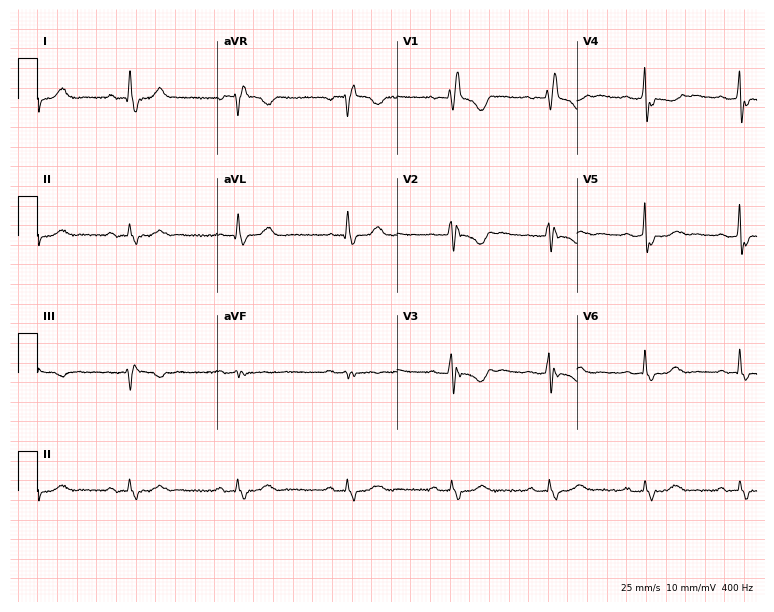
12-lead ECG from a female, 75 years old (7.3-second recording at 400 Hz). Shows right bundle branch block (RBBB).